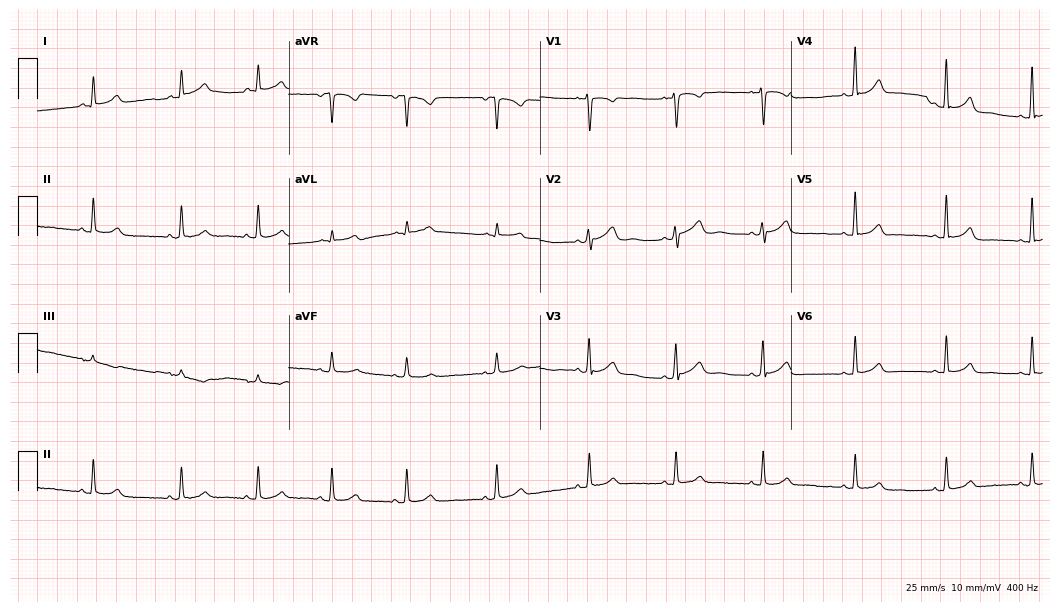
ECG (10.2-second recording at 400 Hz) — a 37-year-old woman. Labelled as a normal ECG.